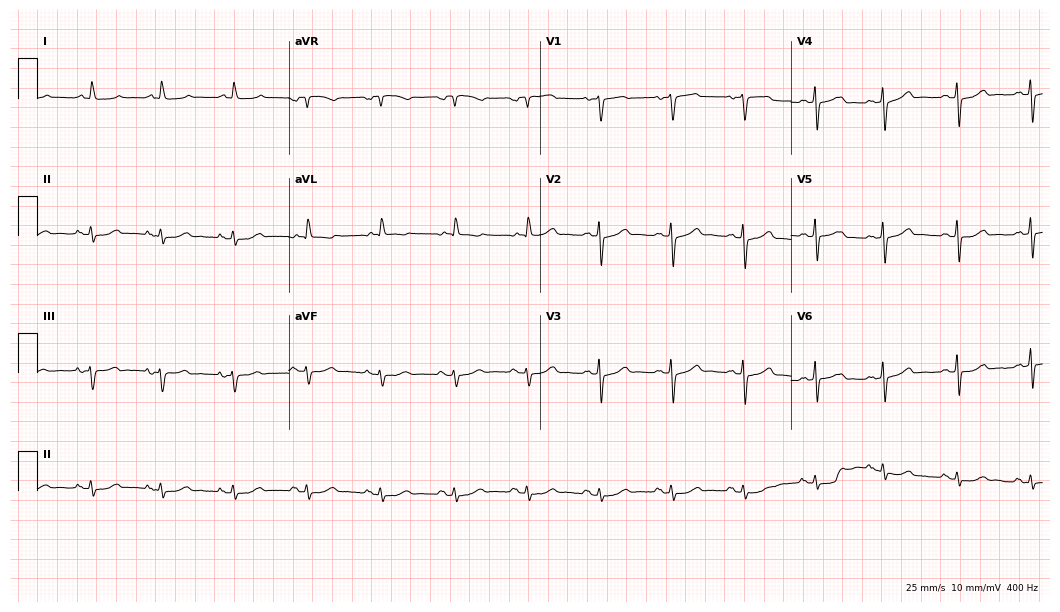
12-lead ECG (10.2-second recording at 400 Hz) from a 78-year-old male patient. Screened for six findings — first-degree AV block, right bundle branch block, left bundle branch block, sinus bradycardia, atrial fibrillation, sinus tachycardia — none is recorded.